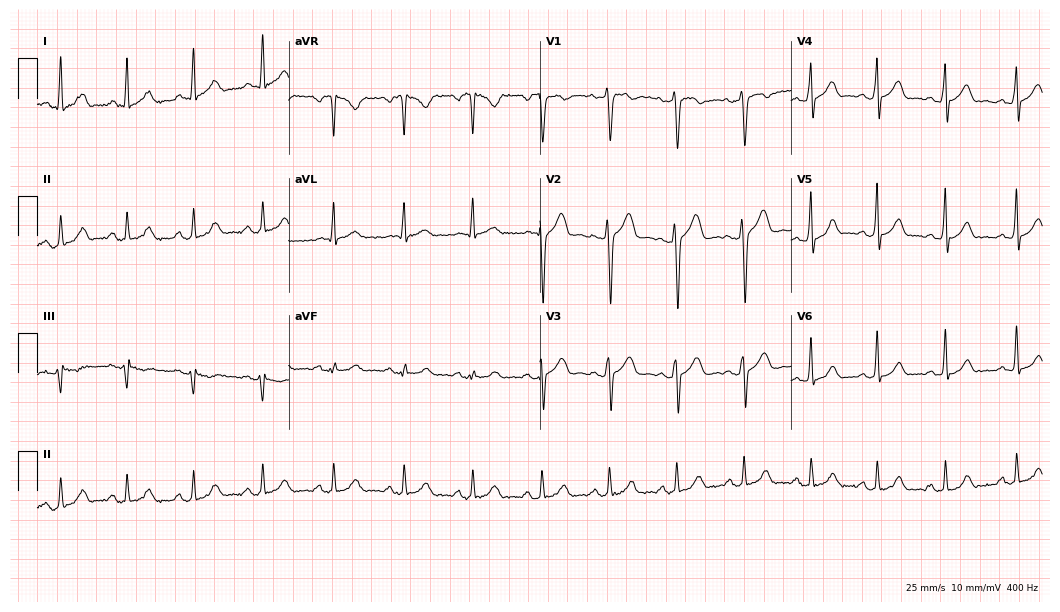
Standard 12-lead ECG recorded from a man, 32 years old (10.2-second recording at 400 Hz). Read as a normal ECG.